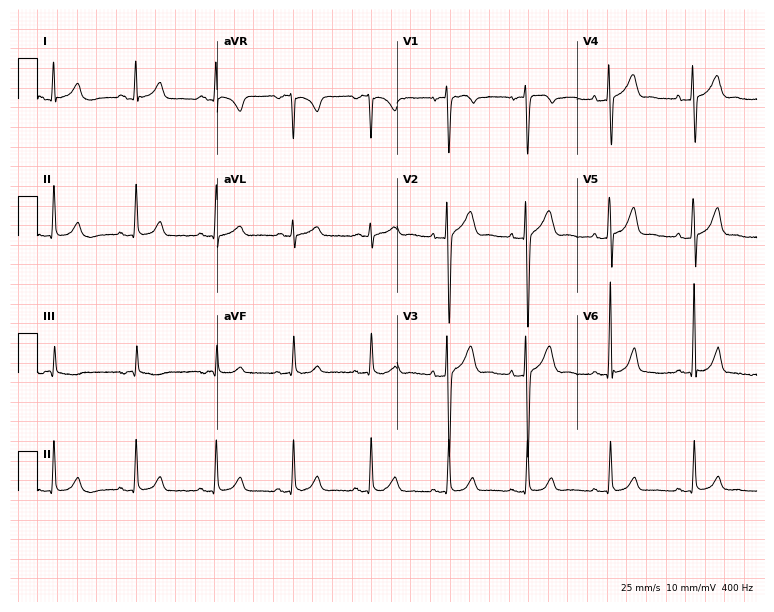
Resting 12-lead electrocardiogram (7.3-second recording at 400 Hz). Patient: a 37-year-old male. Read as a normal ECG.